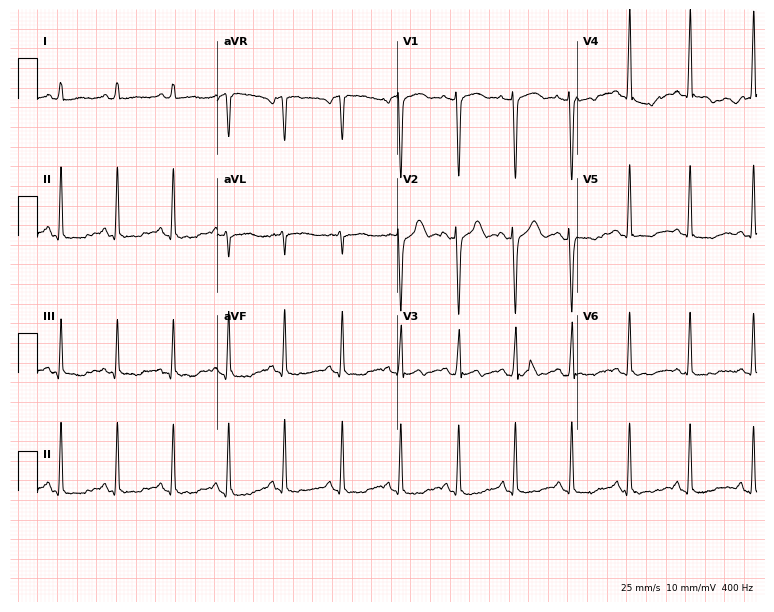
Electrocardiogram, a 26-year-old female patient. Of the six screened findings (first-degree AV block, right bundle branch block, left bundle branch block, sinus bradycardia, atrial fibrillation, sinus tachycardia), none is recorded. Findings outside these six are not listed.